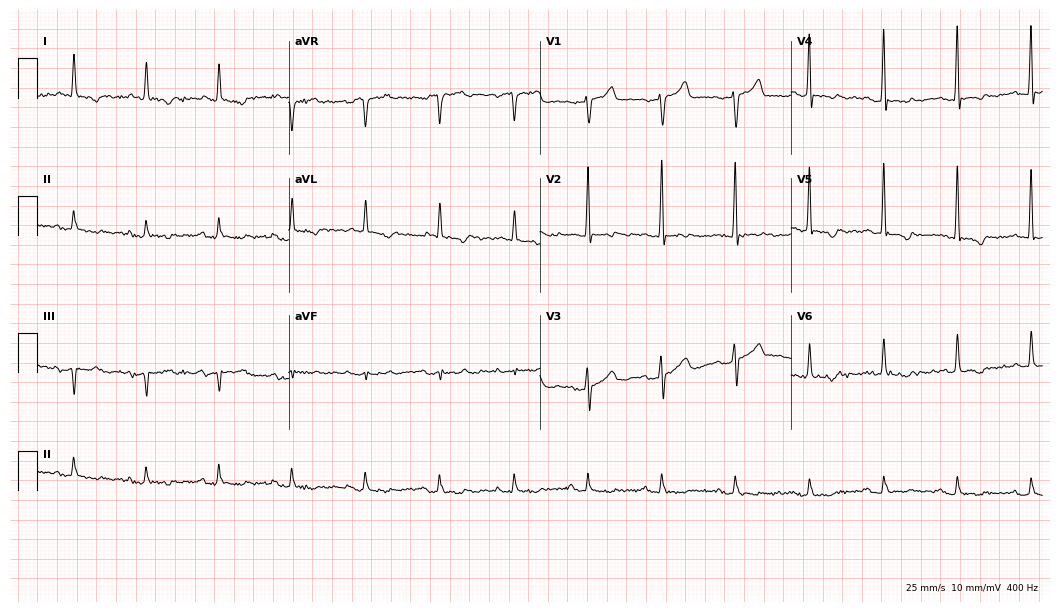
12-lead ECG from a male, 81 years old. No first-degree AV block, right bundle branch block, left bundle branch block, sinus bradycardia, atrial fibrillation or sinus tachycardia recorded for this tracing.